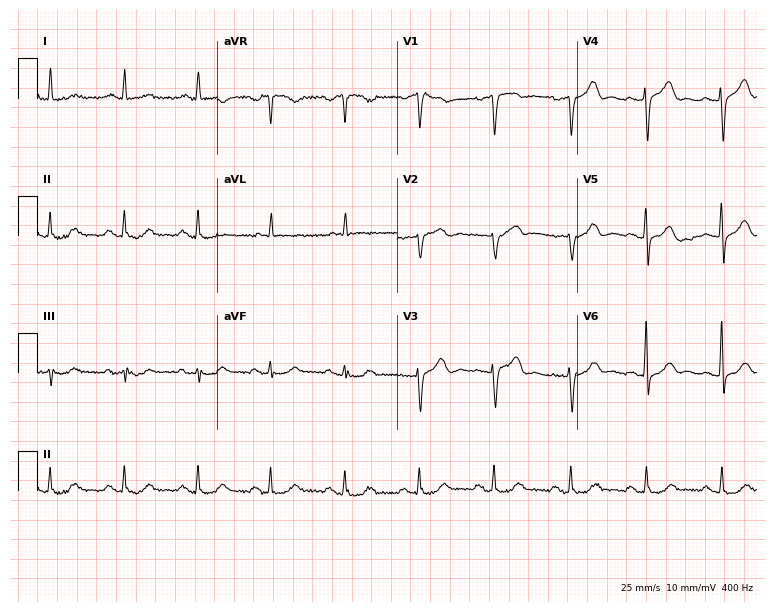
ECG (7.3-second recording at 400 Hz) — a male patient, 77 years old. Screened for six findings — first-degree AV block, right bundle branch block (RBBB), left bundle branch block (LBBB), sinus bradycardia, atrial fibrillation (AF), sinus tachycardia — none is recorded. Other findings, if any, are not listed.